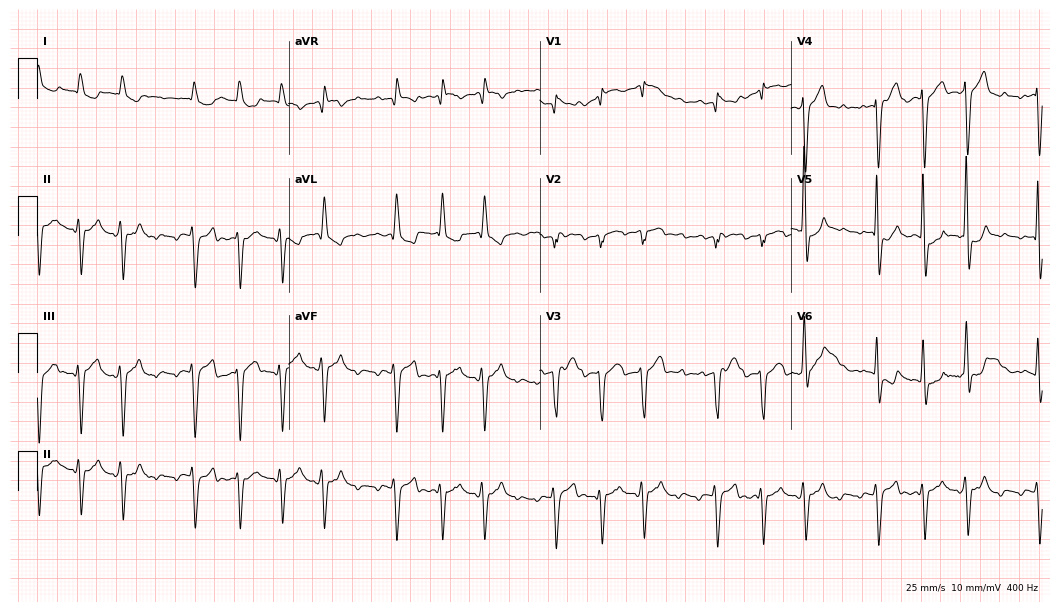
12-lead ECG from a male, 74 years old (10.2-second recording at 400 Hz). No first-degree AV block, right bundle branch block (RBBB), left bundle branch block (LBBB), sinus bradycardia, atrial fibrillation (AF) or sinus tachycardia recorded for this tracing. Findings outside these six are not listed.